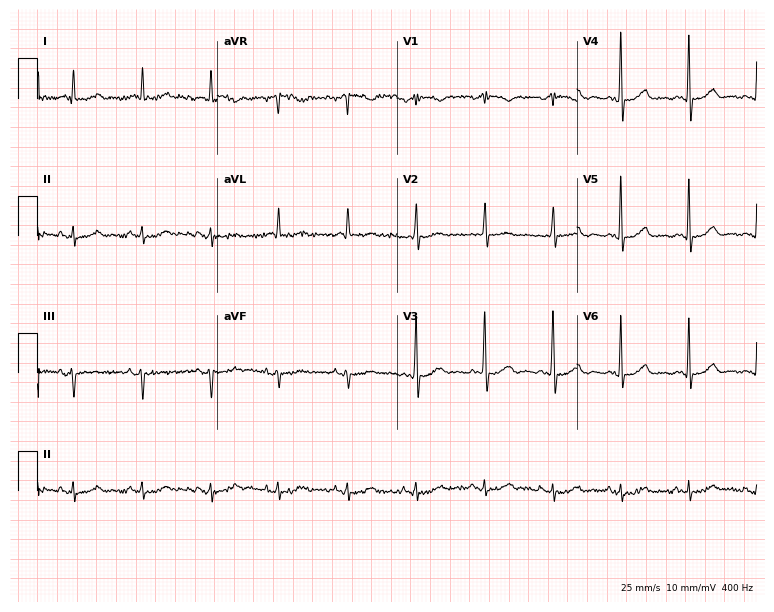
Resting 12-lead electrocardiogram. Patient: a man, 83 years old. None of these six findings is recorded: first-degree AV block, right bundle branch block, left bundle branch block, sinus bradycardia, atrial fibrillation, sinus tachycardia.